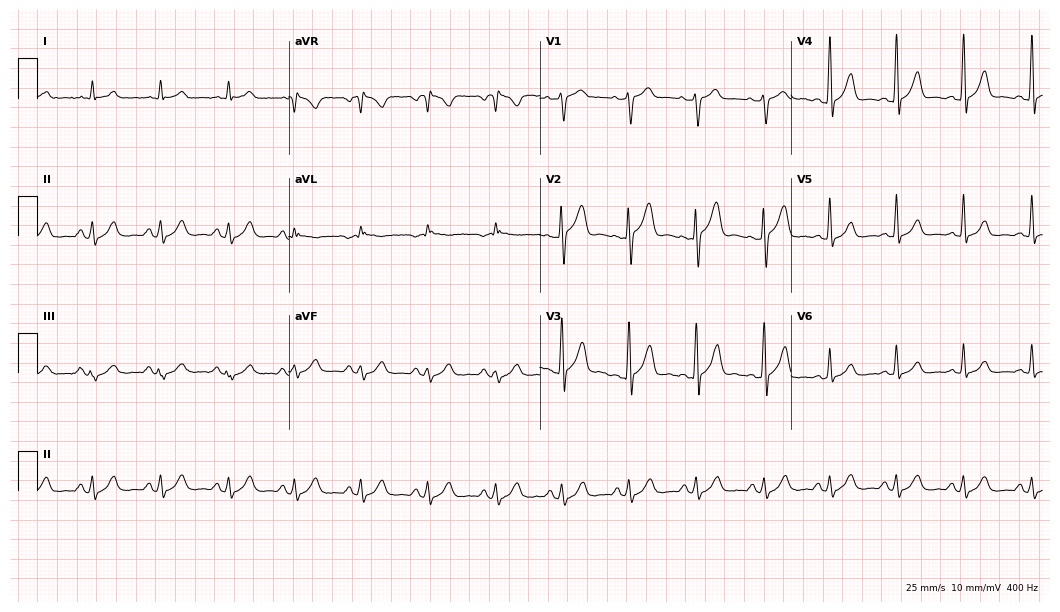
12-lead ECG (10.2-second recording at 400 Hz) from a man, 44 years old. Labelled as a normal ECG.